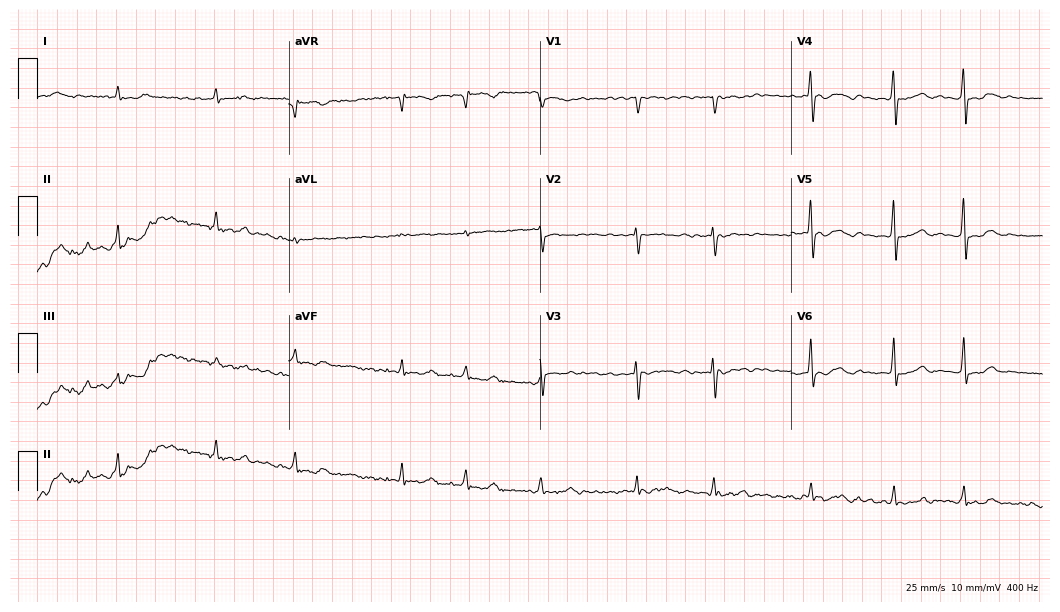
ECG (10.2-second recording at 400 Hz) — an 80-year-old female. Findings include atrial fibrillation (AF).